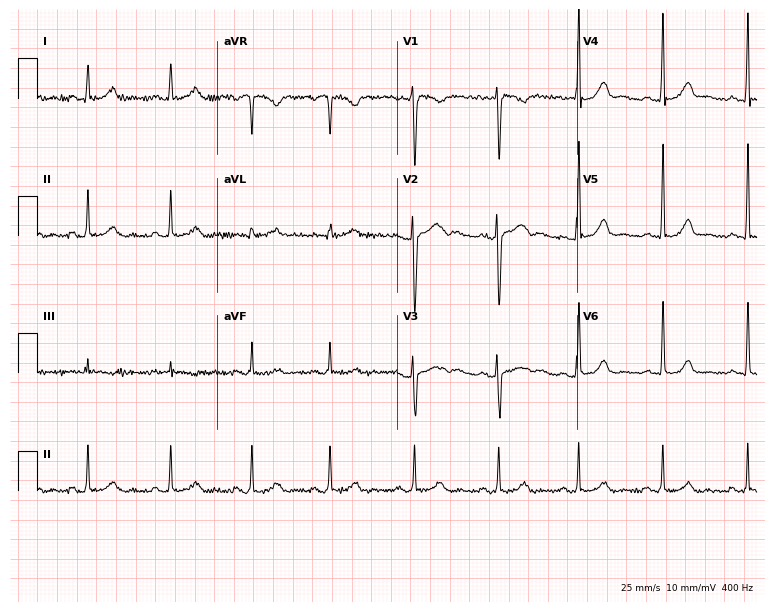
12-lead ECG from a woman, 31 years old (7.3-second recording at 400 Hz). Recorded interpretation: within normal limits.